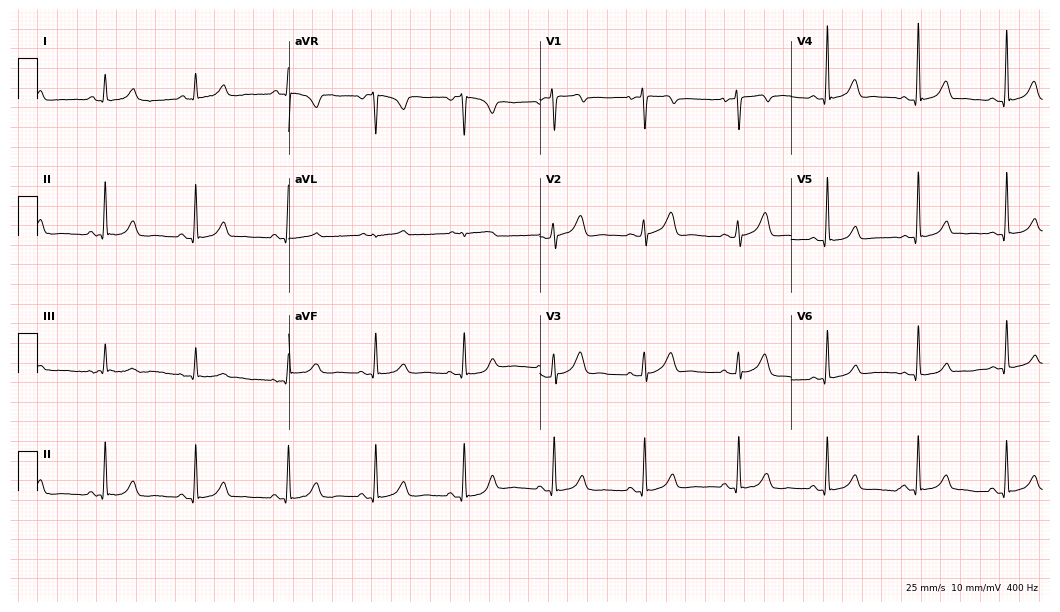
12-lead ECG from a 27-year-old woman (10.2-second recording at 400 Hz). Recorded interpretation: within normal limits.